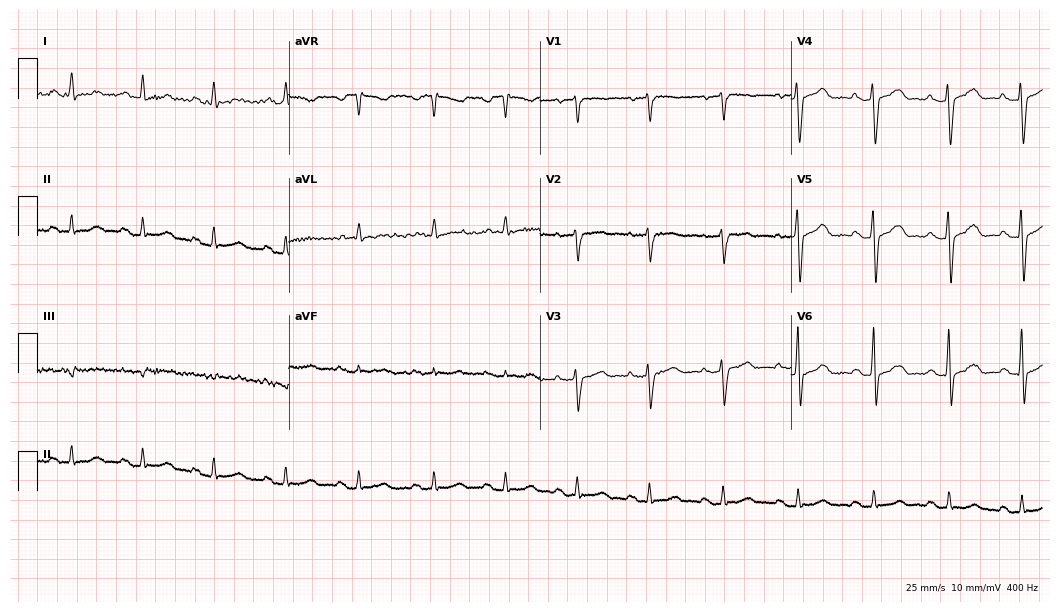
Resting 12-lead electrocardiogram. Patient: a female, 77 years old. Read as a normal ECG.